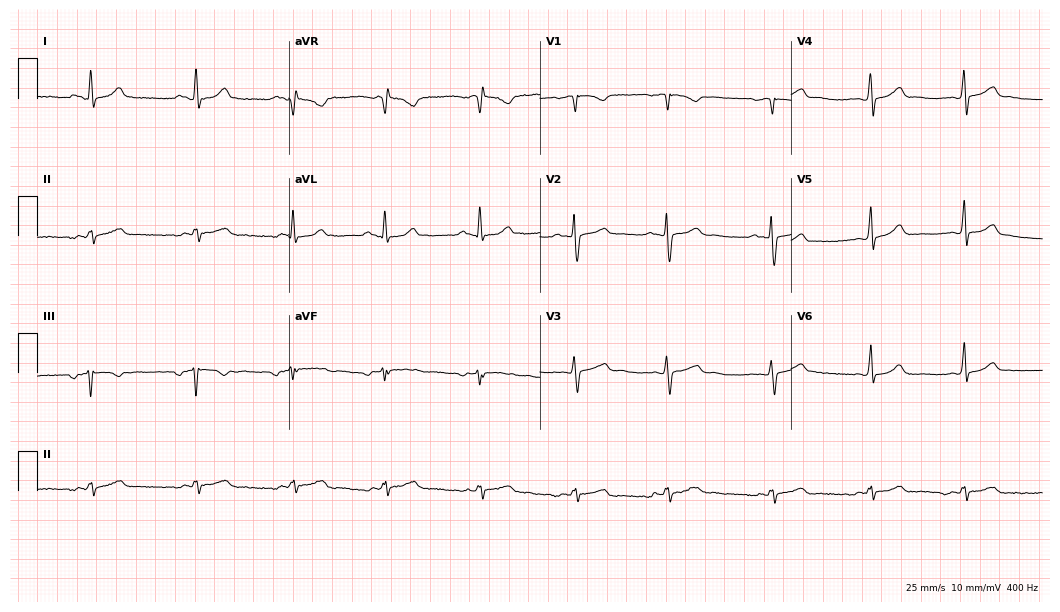
Standard 12-lead ECG recorded from a 44-year-old female (10.2-second recording at 400 Hz). None of these six findings is recorded: first-degree AV block, right bundle branch block (RBBB), left bundle branch block (LBBB), sinus bradycardia, atrial fibrillation (AF), sinus tachycardia.